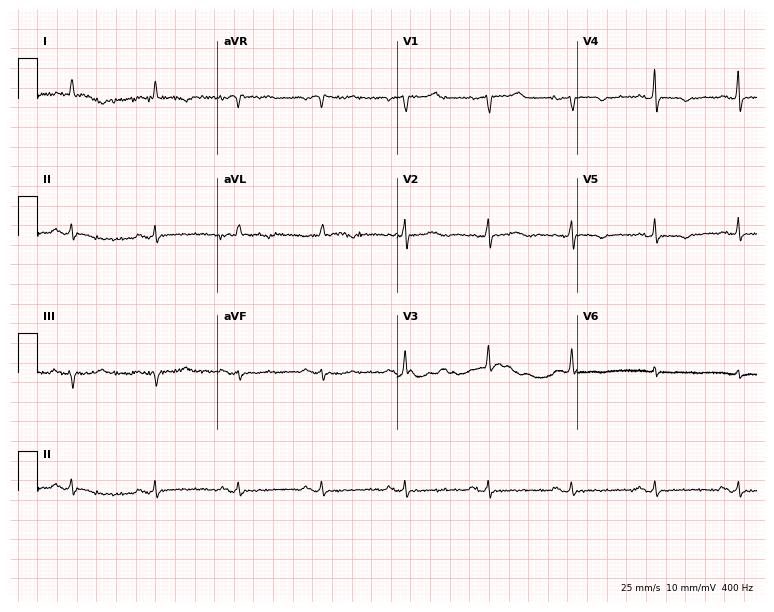
Standard 12-lead ECG recorded from a 69-year-old woman (7.3-second recording at 400 Hz). None of these six findings is recorded: first-degree AV block, right bundle branch block, left bundle branch block, sinus bradycardia, atrial fibrillation, sinus tachycardia.